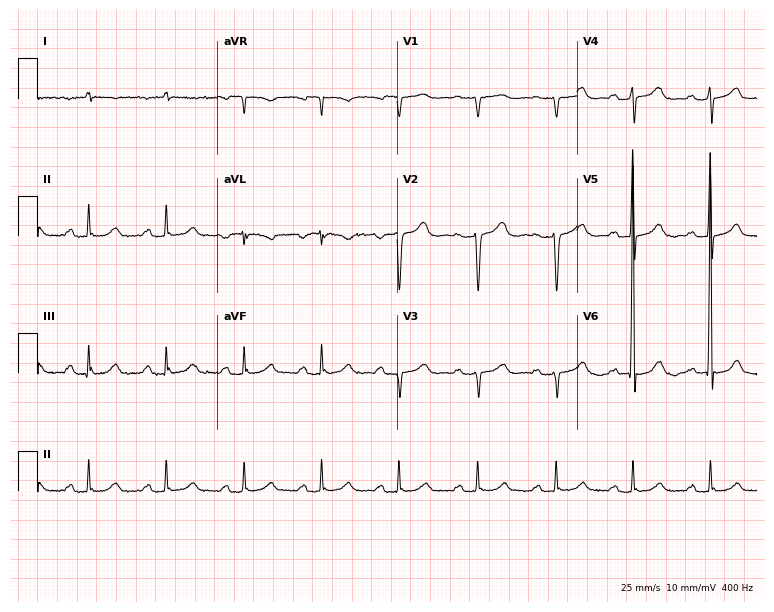
Resting 12-lead electrocardiogram. Patient: a female, 69 years old. The tracing shows first-degree AV block.